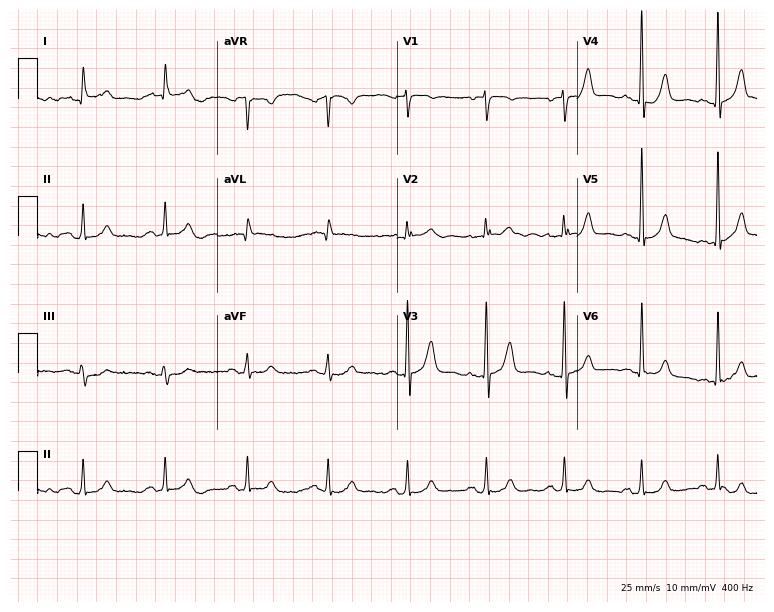
Electrocardiogram, a male patient, 80 years old. Of the six screened findings (first-degree AV block, right bundle branch block (RBBB), left bundle branch block (LBBB), sinus bradycardia, atrial fibrillation (AF), sinus tachycardia), none is recorded. Findings outside these six are not listed.